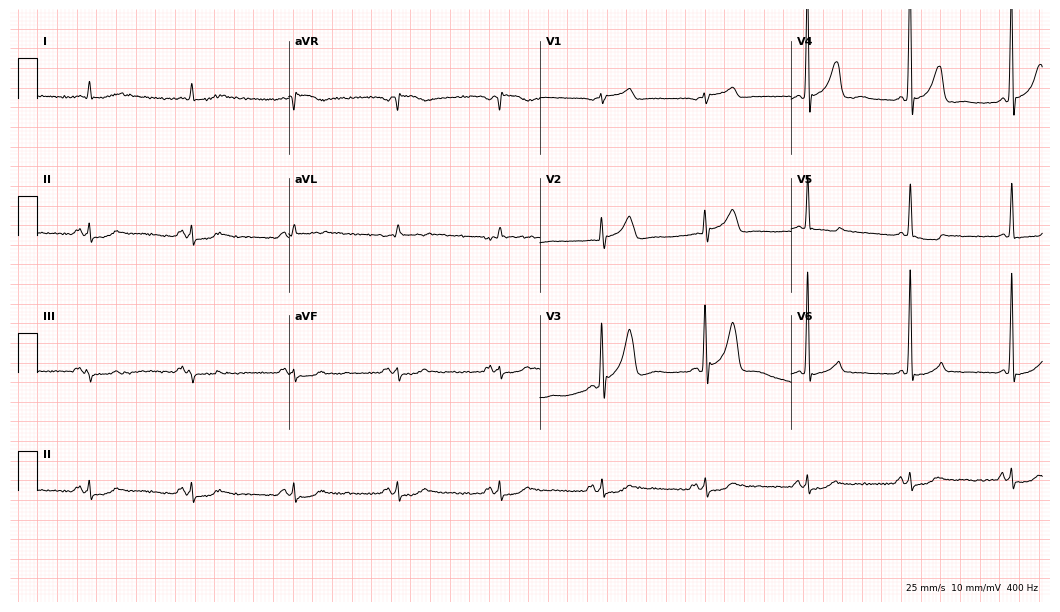
12-lead ECG from a 48-year-old female. Labelled as a normal ECG.